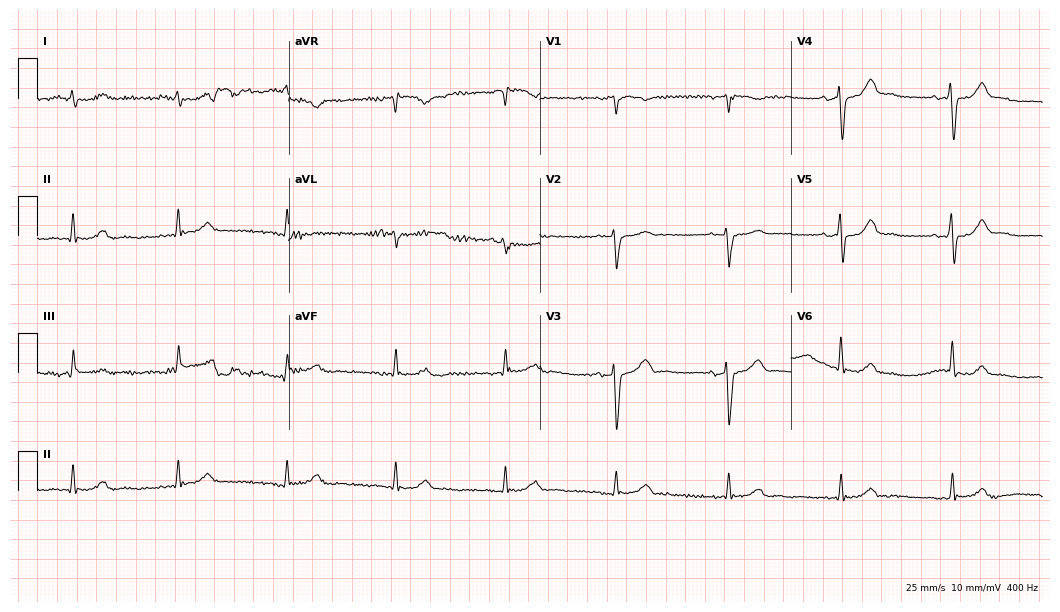
Resting 12-lead electrocardiogram (10.2-second recording at 400 Hz). Patient: a 70-year-old male. None of these six findings is recorded: first-degree AV block, right bundle branch block, left bundle branch block, sinus bradycardia, atrial fibrillation, sinus tachycardia.